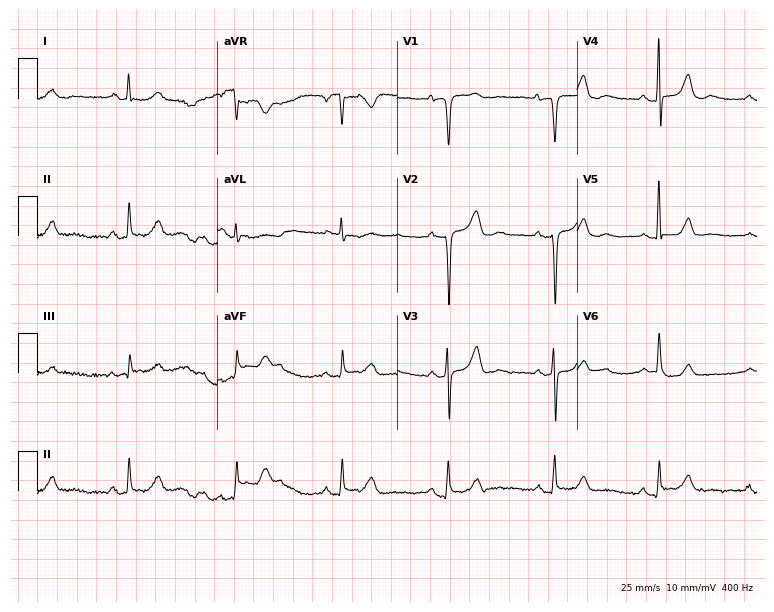
Resting 12-lead electrocardiogram. Patient: a female, 78 years old. Read as a normal ECG.